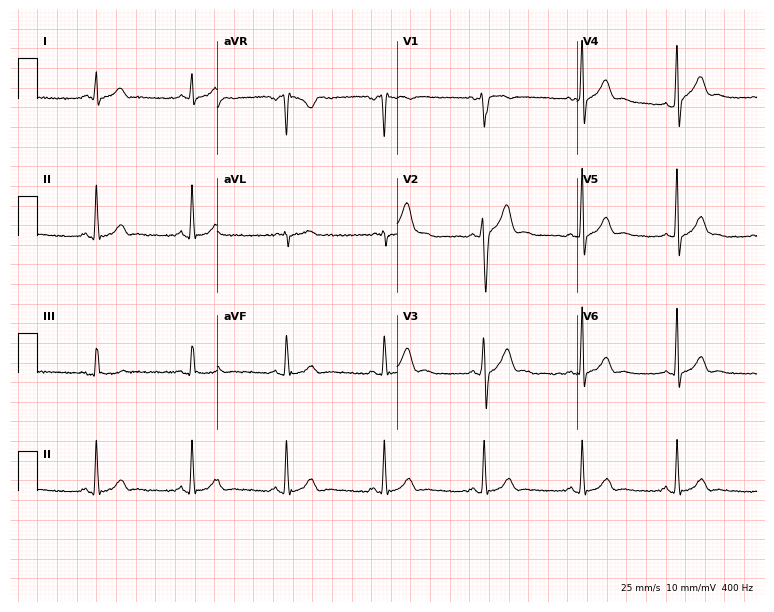
12-lead ECG from a man, 48 years old. Screened for six findings — first-degree AV block, right bundle branch block, left bundle branch block, sinus bradycardia, atrial fibrillation, sinus tachycardia — none is recorded.